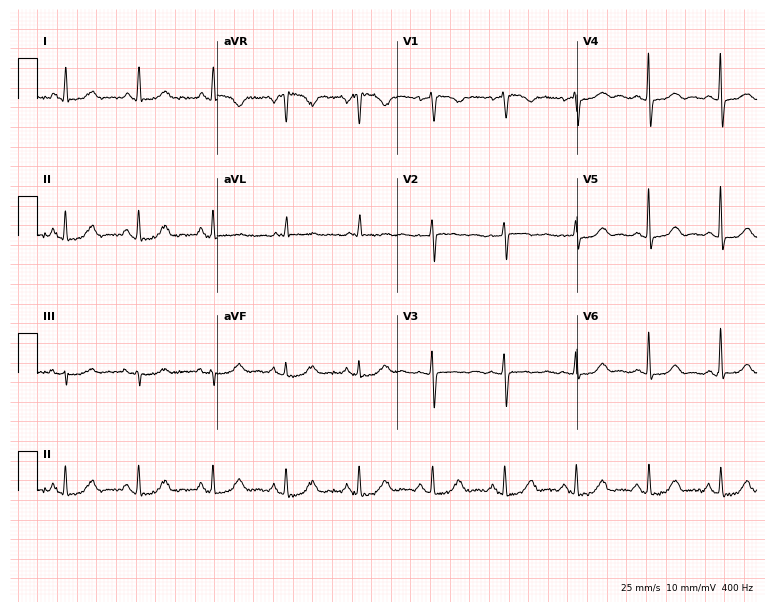
Standard 12-lead ECG recorded from a 77-year-old female (7.3-second recording at 400 Hz). None of these six findings is recorded: first-degree AV block, right bundle branch block (RBBB), left bundle branch block (LBBB), sinus bradycardia, atrial fibrillation (AF), sinus tachycardia.